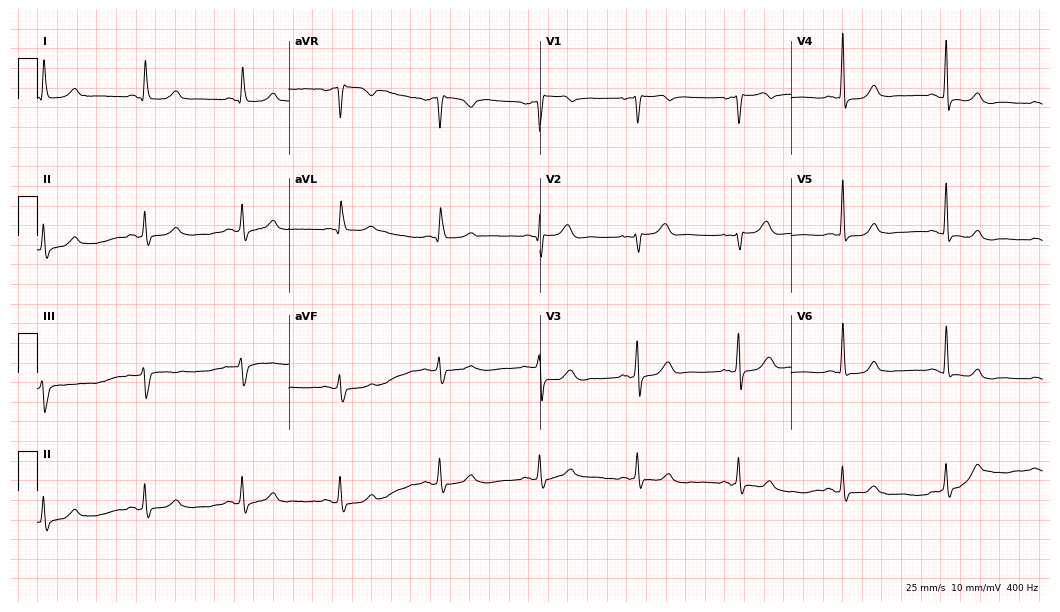
12-lead ECG from a 69-year-old female. Labelled as a normal ECG.